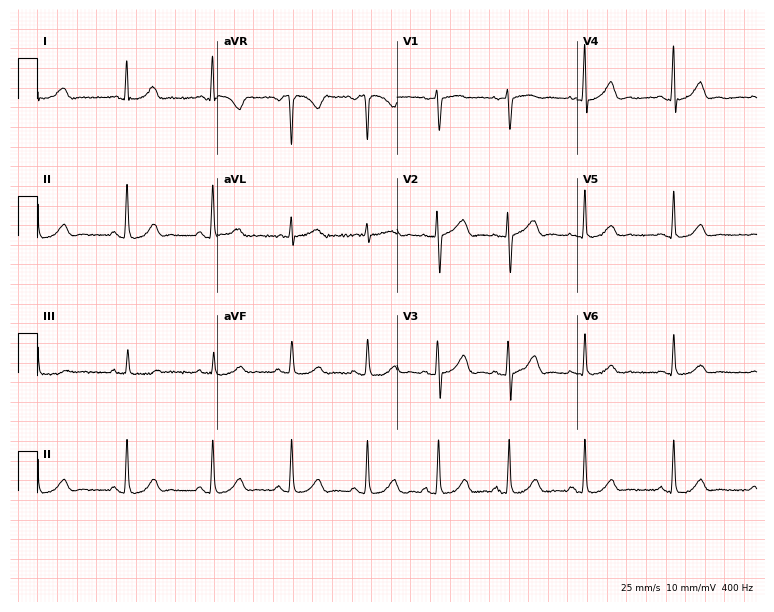
Electrocardiogram, a female patient, 27 years old. Overall reading on record: normal ECG.